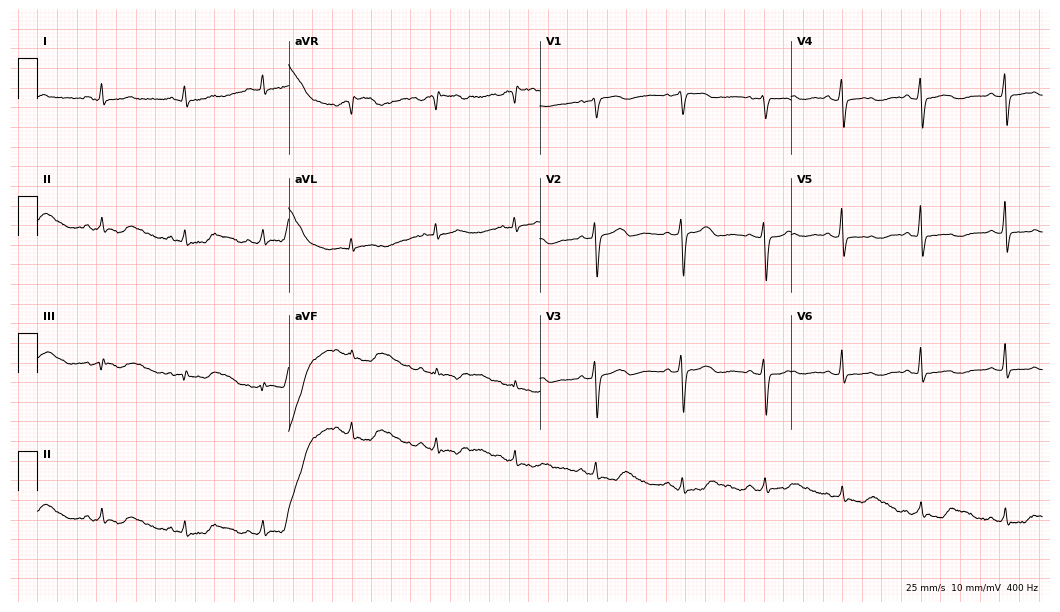
12-lead ECG from a 50-year-old woman (10.2-second recording at 400 Hz). No first-degree AV block, right bundle branch block (RBBB), left bundle branch block (LBBB), sinus bradycardia, atrial fibrillation (AF) or sinus tachycardia recorded for this tracing.